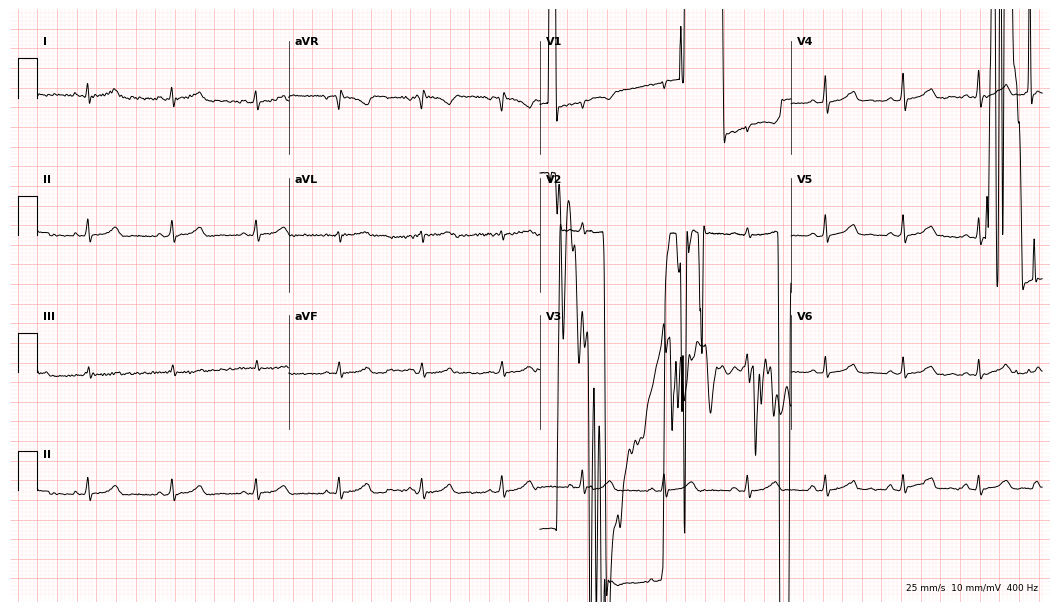
Electrocardiogram, a 29-year-old female. Of the six screened findings (first-degree AV block, right bundle branch block, left bundle branch block, sinus bradycardia, atrial fibrillation, sinus tachycardia), none is recorded. Other findings, if any, are not listed.